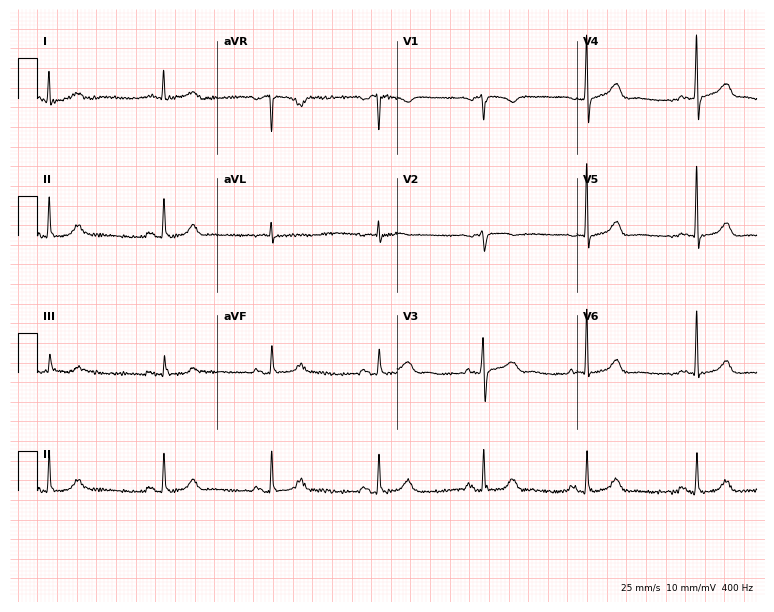
12-lead ECG from a female patient, 77 years old. Screened for six findings — first-degree AV block, right bundle branch block, left bundle branch block, sinus bradycardia, atrial fibrillation, sinus tachycardia — none is recorded. Only these six findings were labelled.